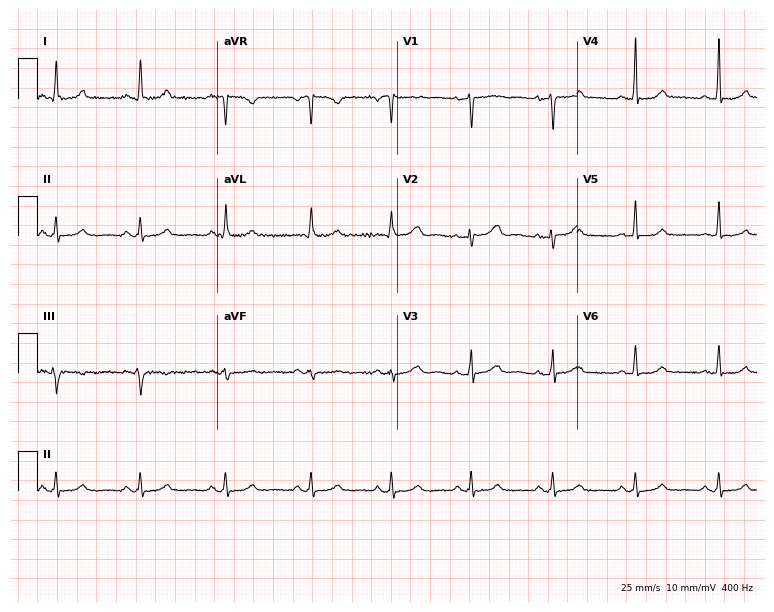
Electrocardiogram (7.3-second recording at 400 Hz), a woman, 42 years old. Of the six screened findings (first-degree AV block, right bundle branch block, left bundle branch block, sinus bradycardia, atrial fibrillation, sinus tachycardia), none is recorded. Other findings, if any, are not listed.